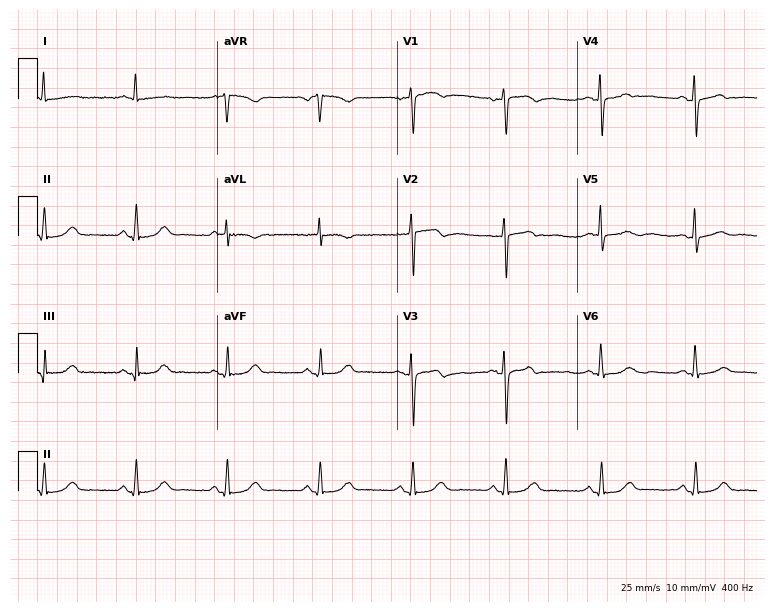
12-lead ECG (7.3-second recording at 400 Hz) from a 57-year-old woman. Labelled as a normal ECG.